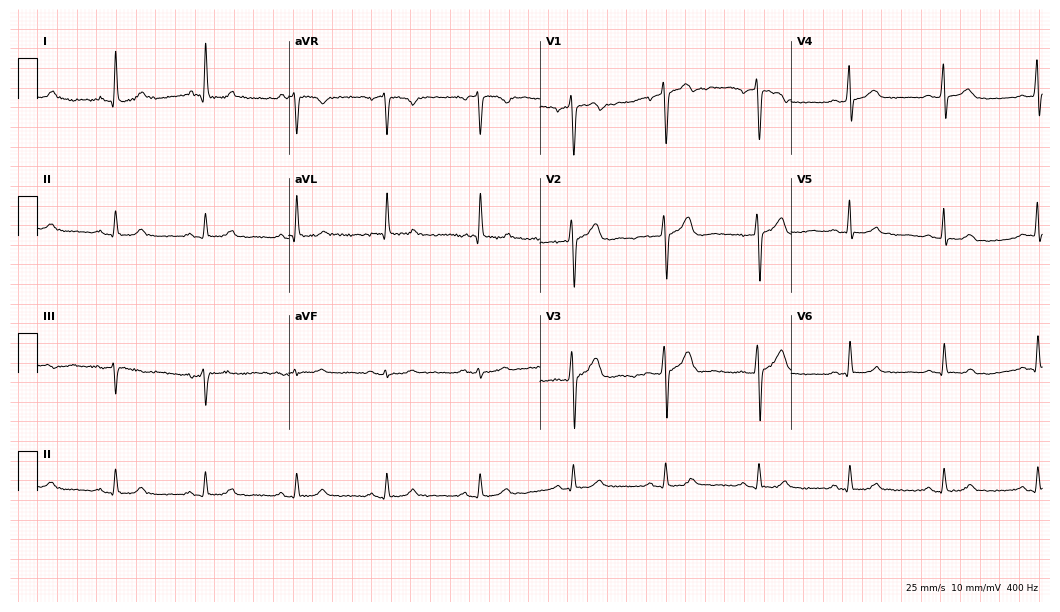
Resting 12-lead electrocardiogram (10.2-second recording at 400 Hz). Patient: a male, 47 years old. Read as a normal ECG.